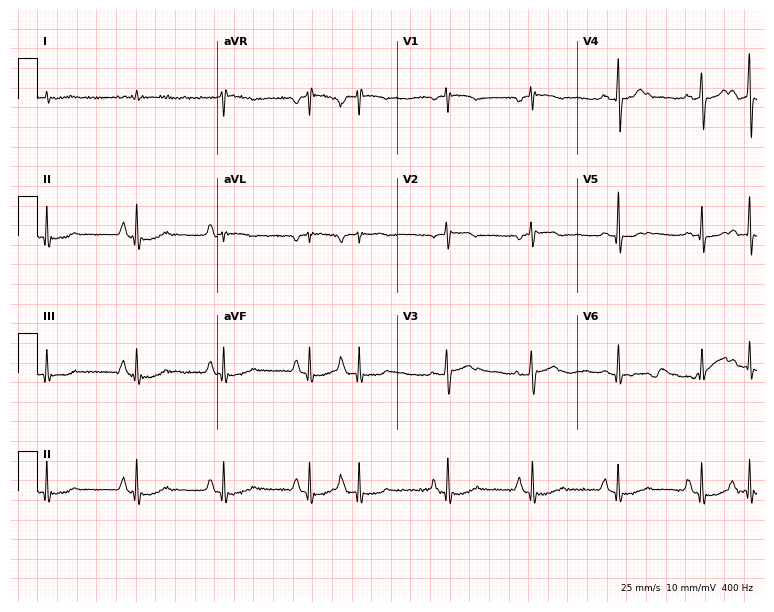
ECG — an 84-year-old male. Screened for six findings — first-degree AV block, right bundle branch block, left bundle branch block, sinus bradycardia, atrial fibrillation, sinus tachycardia — none is recorded. Only these six findings were labelled.